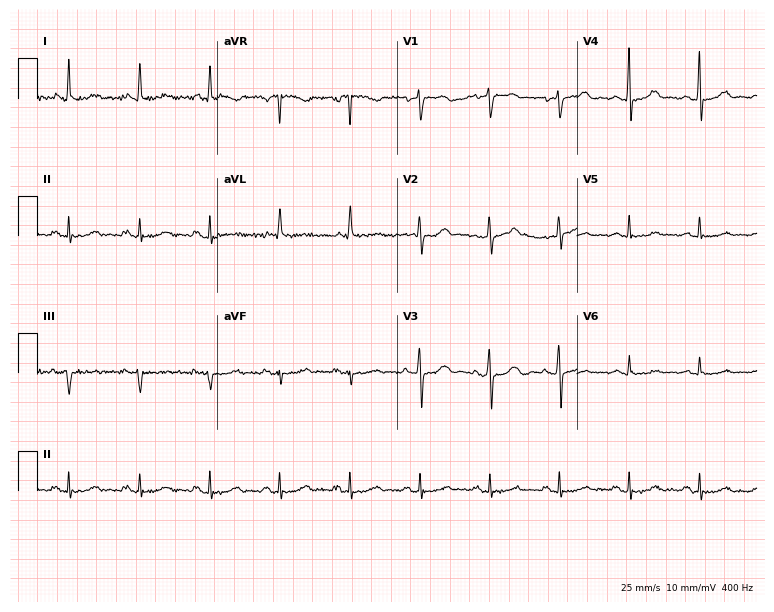
12-lead ECG from a 55-year-old woman (7.3-second recording at 400 Hz). No first-degree AV block, right bundle branch block, left bundle branch block, sinus bradycardia, atrial fibrillation or sinus tachycardia recorded for this tracing. Findings outside these six are not listed.